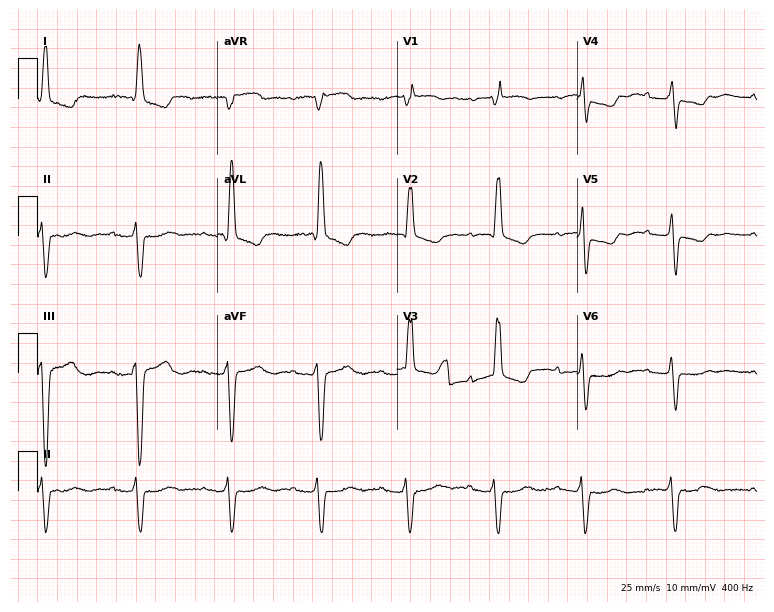
12-lead ECG from a female, 85 years old. Findings include first-degree AV block, right bundle branch block.